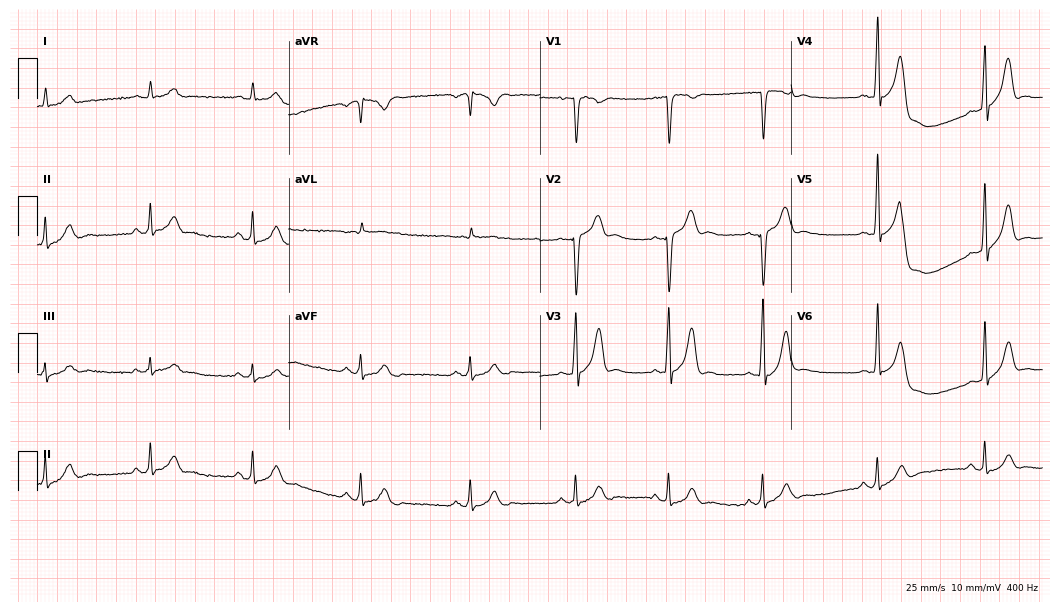
12-lead ECG from a male, 31 years old. Labelled as a normal ECG.